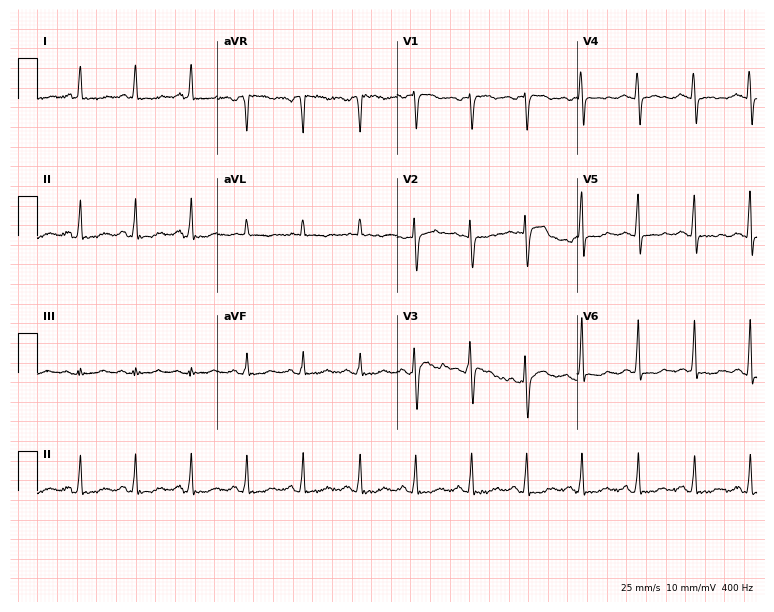
Standard 12-lead ECG recorded from a 47-year-old female. None of these six findings is recorded: first-degree AV block, right bundle branch block, left bundle branch block, sinus bradycardia, atrial fibrillation, sinus tachycardia.